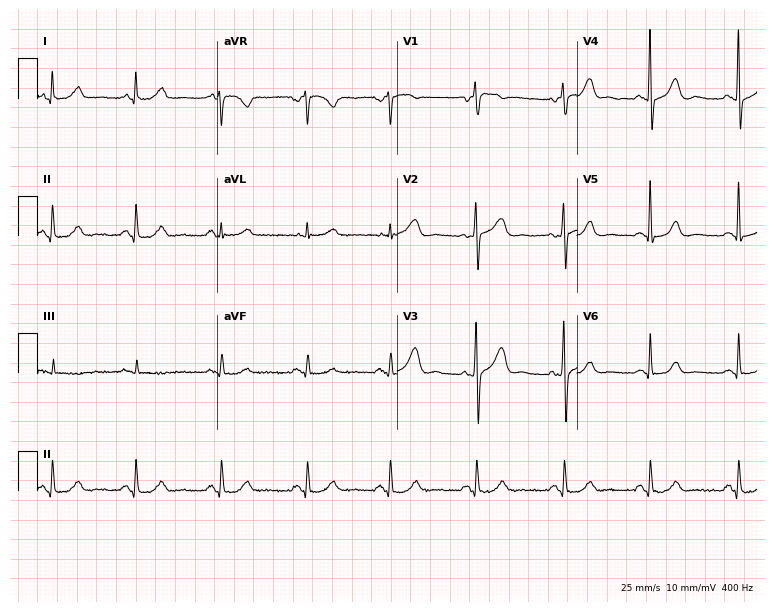
ECG (7.3-second recording at 400 Hz) — a 59-year-old woman. Labelled as a normal ECG.